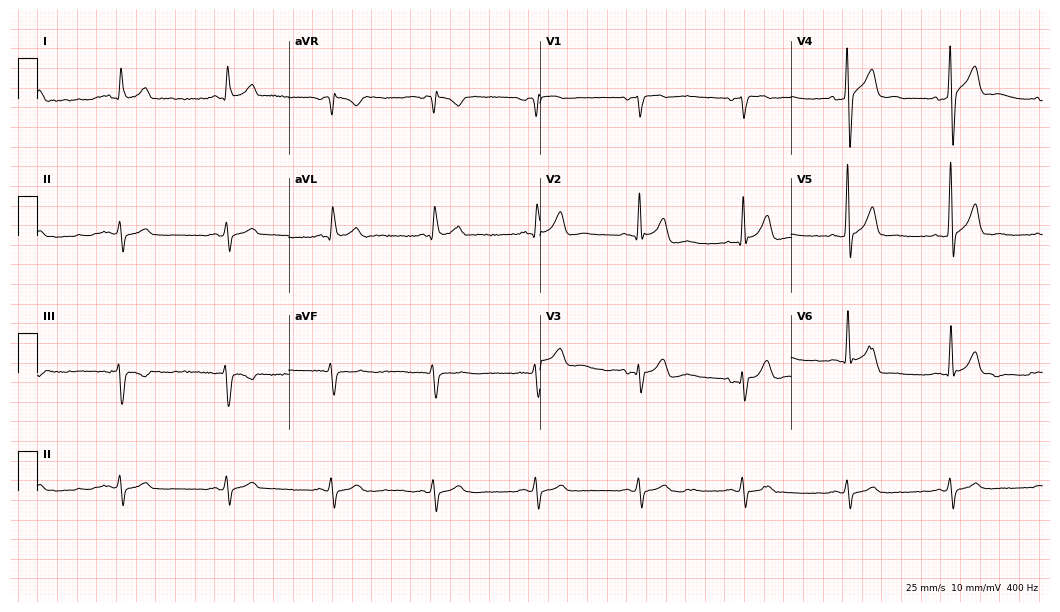
Electrocardiogram (10.2-second recording at 400 Hz), a male patient, 46 years old. Of the six screened findings (first-degree AV block, right bundle branch block, left bundle branch block, sinus bradycardia, atrial fibrillation, sinus tachycardia), none is recorded.